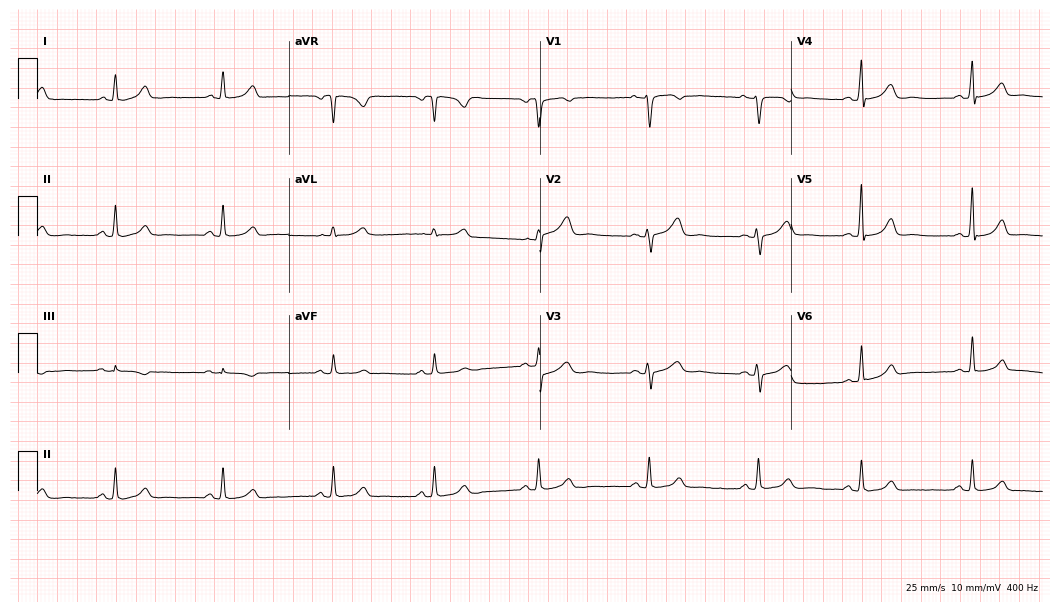
Electrocardiogram, a 43-year-old woman. Overall reading on record: normal ECG.